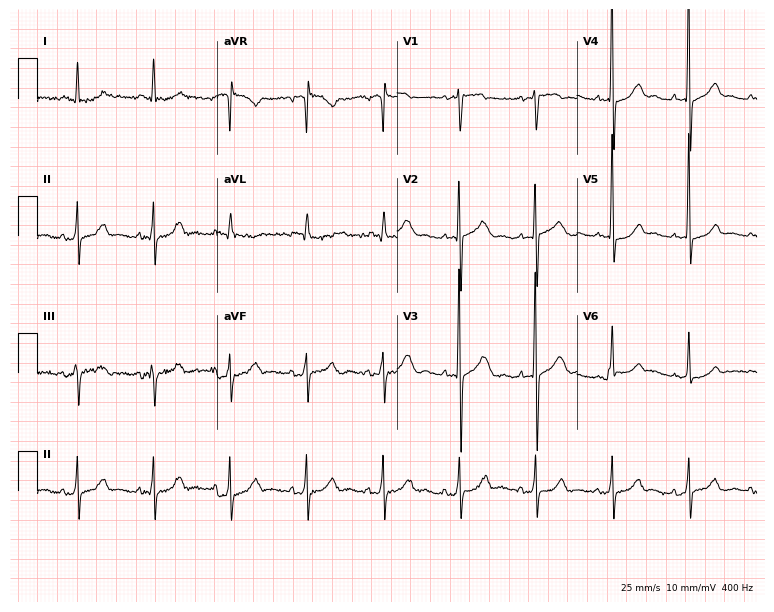
Resting 12-lead electrocardiogram (7.3-second recording at 400 Hz). Patient: a woman, 79 years old. None of these six findings is recorded: first-degree AV block, right bundle branch block, left bundle branch block, sinus bradycardia, atrial fibrillation, sinus tachycardia. Other findings, if any, are not listed.